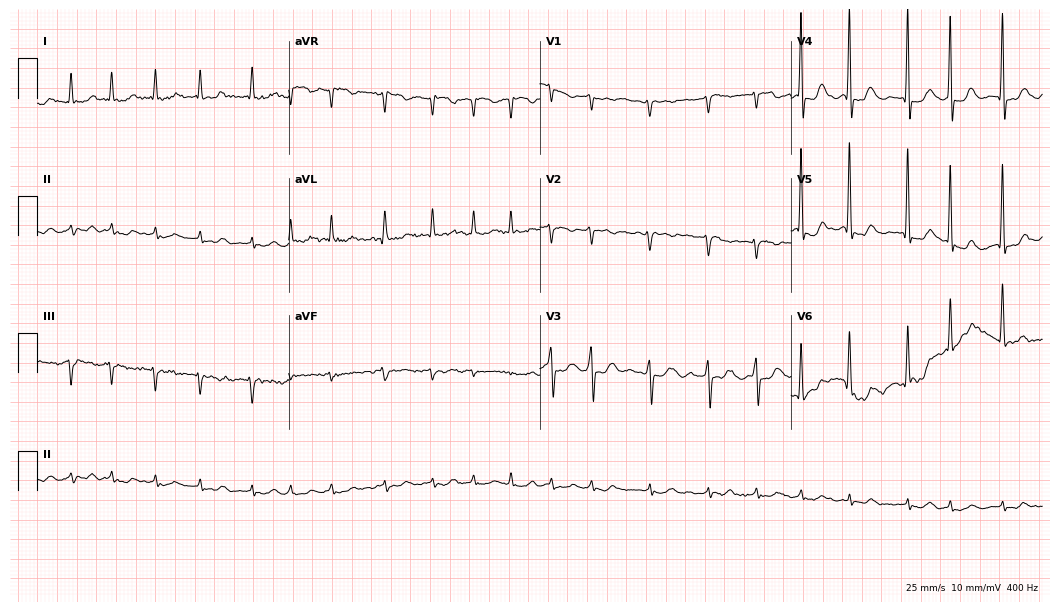
Standard 12-lead ECG recorded from a 77-year-old woman. The tracing shows atrial fibrillation (AF), sinus tachycardia (a sinus rate of 100 beats per minute or more).